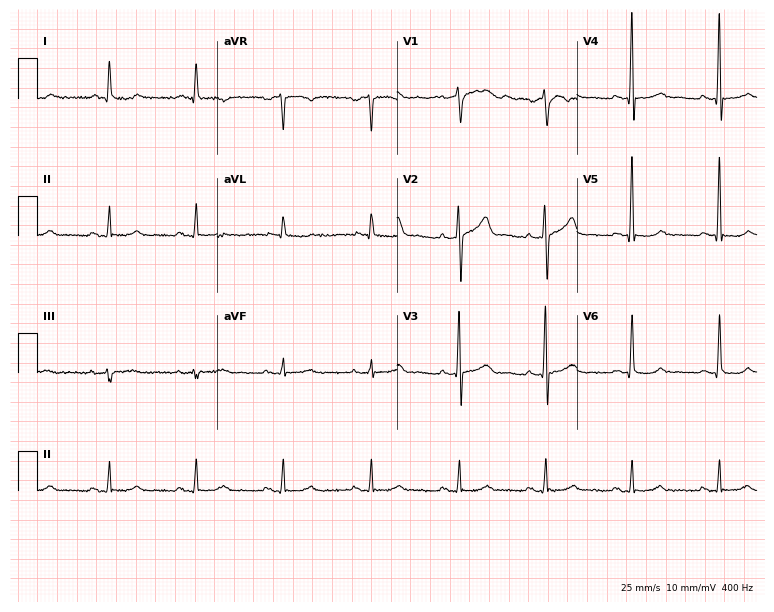
Resting 12-lead electrocardiogram. Patient: a man, 53 years old. None of these six findings is recorded: first-degree AV block, right bundle branch block, left bundle branch block, sinus bradycardia, atrial fibrillation, sinus tachycardia. Findings outside these six are not listed.